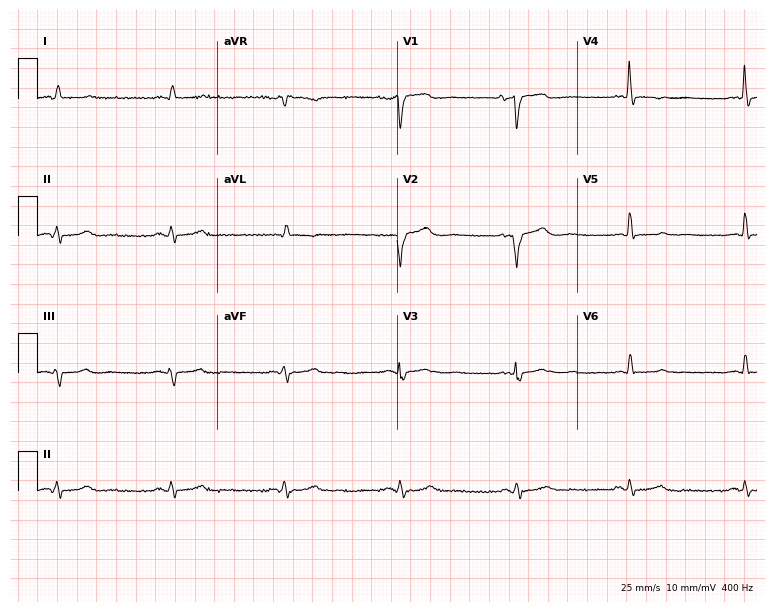
Resting 12-lead electrocardiogram. Patient: a 76-year-old woman. None of these six findings is recorded: first-degree AV block, right bundle branch block, left bundle branch block, sinus bradycardia, atrial fibrillation, sinus tachycardia. Other findings, if any, are not listed.